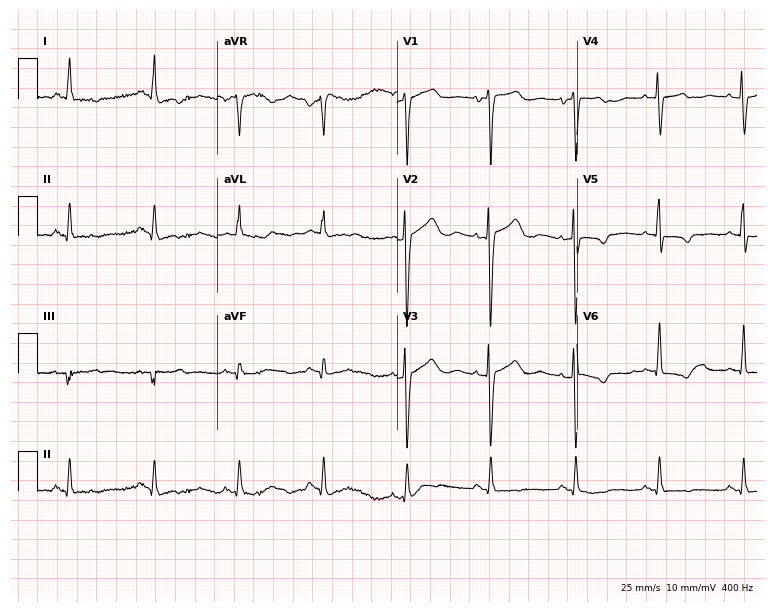
Resting 12-lead electrocardiogram (7.3-second recording at 400 Hz). Patient: a 65-year-old female. None of these six findings is recorded: first-degree AV block, right bundle branch block, left bundle branch block, sinus bradycardia, atrial fibrillation, sinus tachycardia. Only these six findings were labelled.